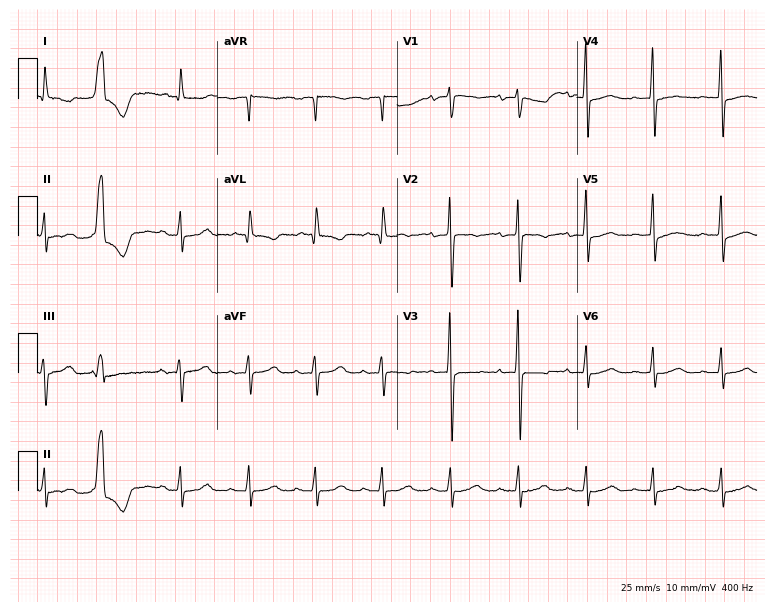
12-lead ECG from an 85-year-old female. Screened for six findings — first-degree AV block, right bundle branch block (RBBB), left bundle branch block (LBBB), sinus bradycardia, atrial fibrillation (AF), sinus tachycardia — none is recorded.